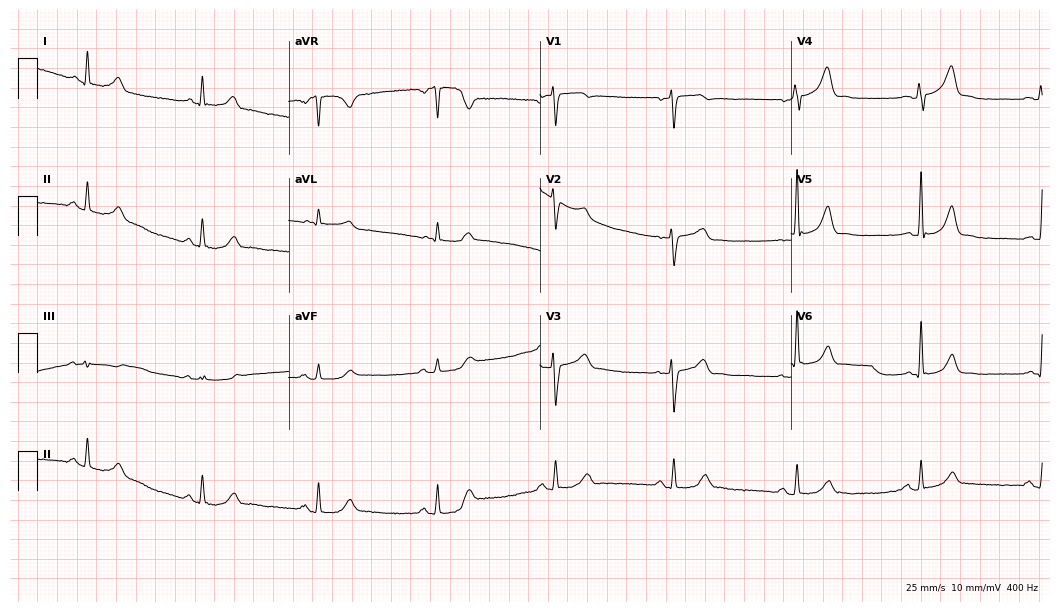
12-lead ECG from a male, 68 years old. Shows sinus bradycardia (a sinus rate of 50 beats per minute or less).